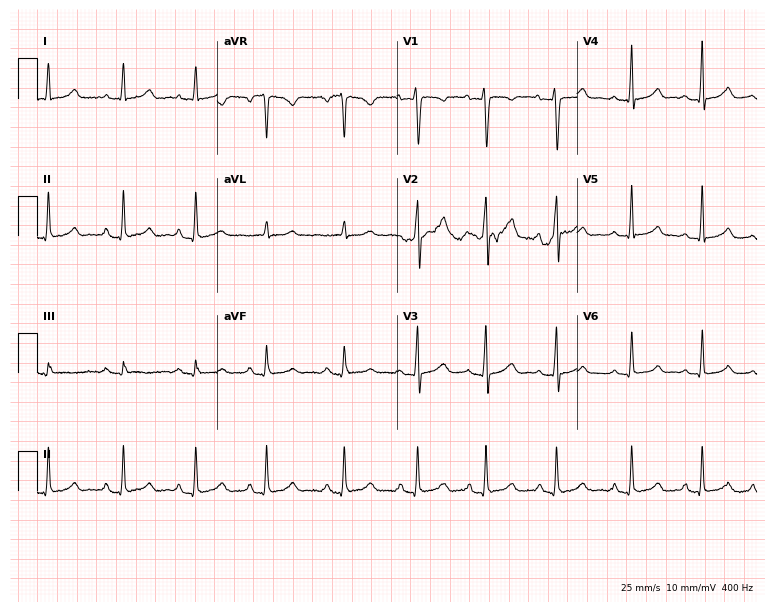
12-lead ECG from a 25-year-old female patient (7.3-second recording at 400 Hz). Recorded interpretation: within normal limits.